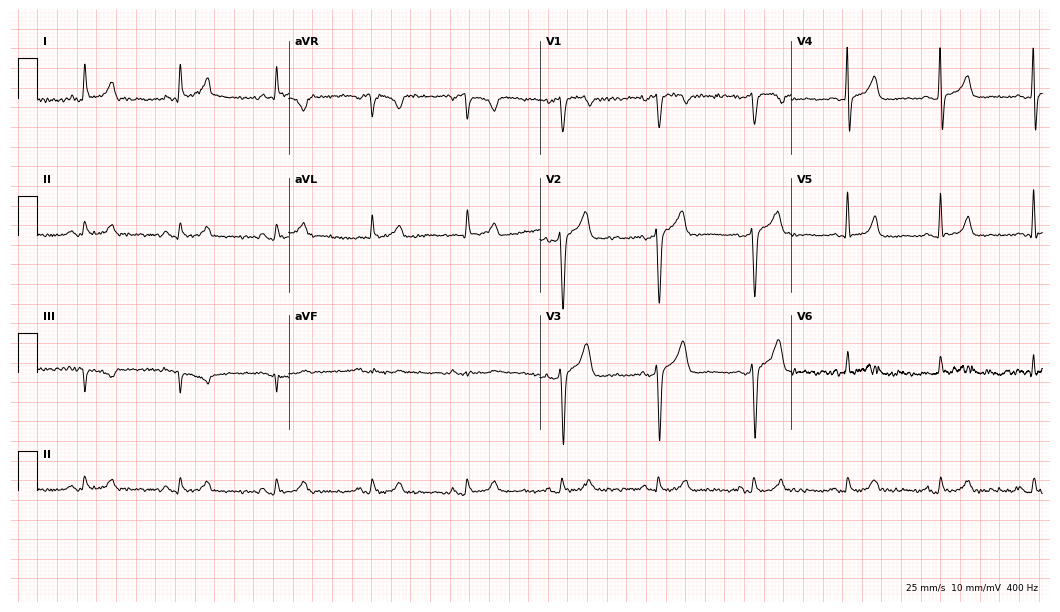
Resting 12-lead electrocardiogram (10.2-second recording at 400 Hz). Patient: a male, 77 years old. None of these six findings is recorded: first-degree AV block, right bundle branch block, left bundle branch block, sinus bradycardia, atrial fibrillation, sinus tachycardia.